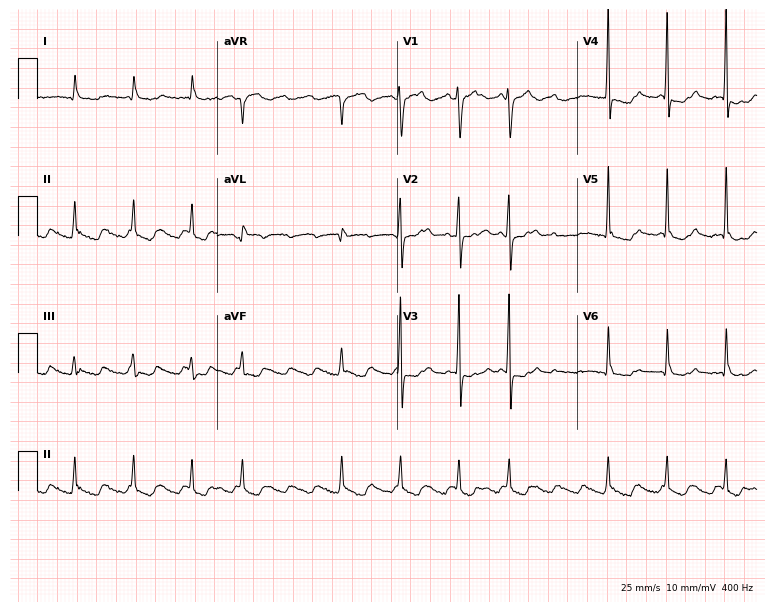
Resting 12-lead electrocardiogram (7.3-second recording at 400 Hz). Patient: a 69-year-old male. None of these six findings is recorded: first-degree AV block, right bundle branch block, left bundle branch block, sinus bradycardia, atrial fibrillation, sinus tachycardia. Other findings, if any, are not listed.